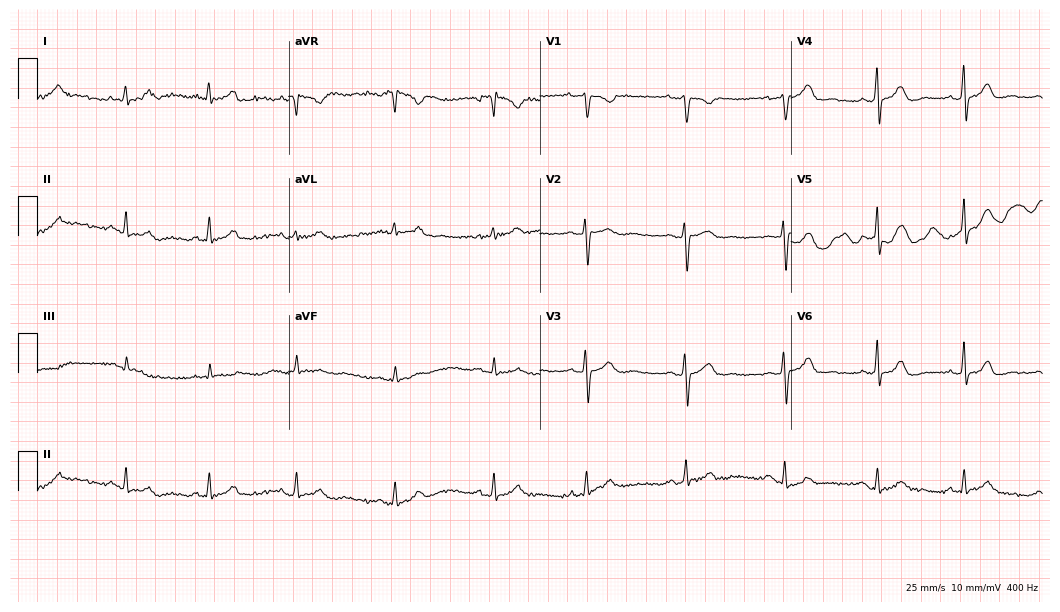
Electrocardiogram, a 29-year-old woman. Of the six screened findings (first-degree AV block, right bundle branch block (RBBB), left bundle branch block (LBBB), sinus bradycardia, atrial fibrillation (AF), sinus tachycardia), none is recorded. Findings outside these six are not listed.